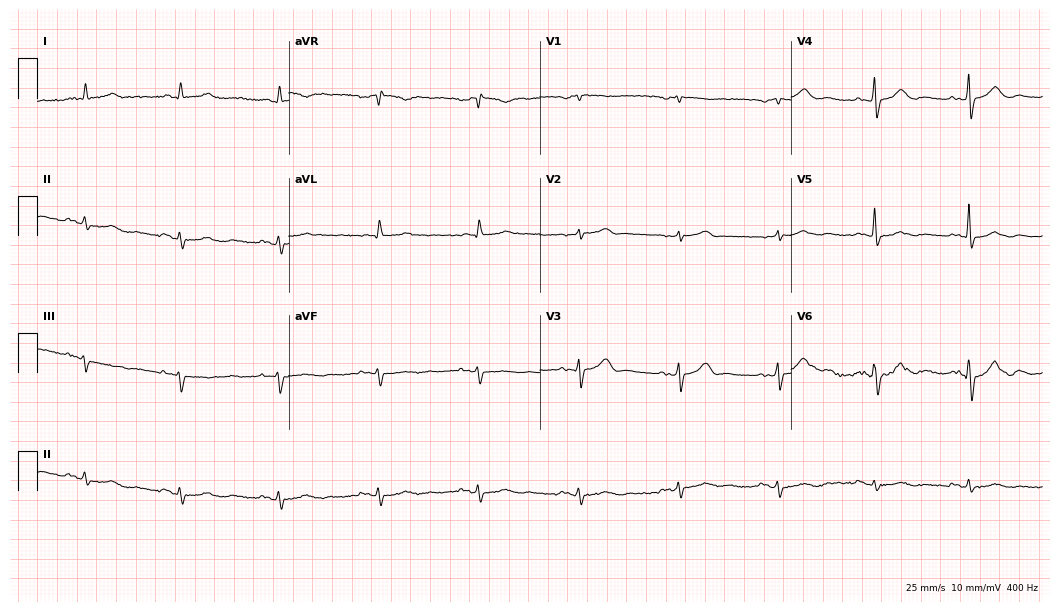
Electrocardiogram (10.2-second recording at 400 Hz), a male patient, 62 years old. Of the six screened findings (first-degree AV block, right bundle branch block (RBBB), left bundle branch block (LBBB), sinus bradycardia, atrial fibrillation (AF), sinus tachycardia), none is recorded. Findings outside these six are not listed.